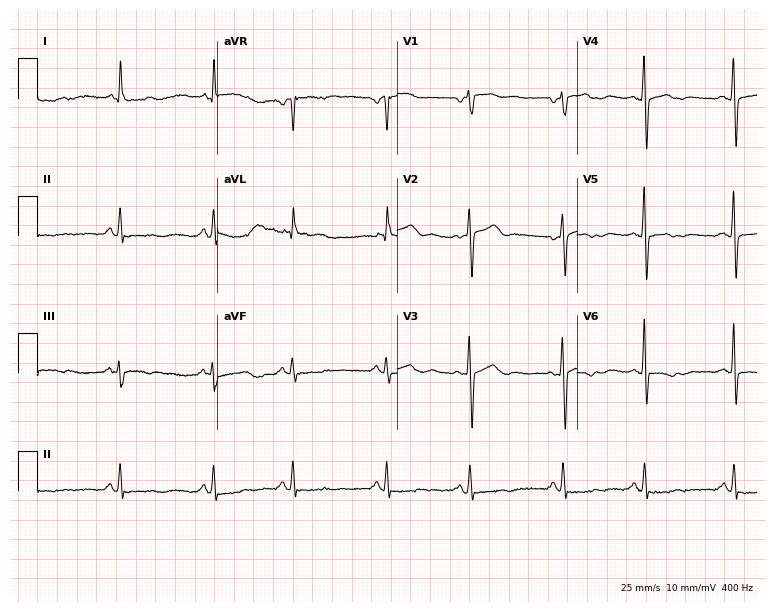
12-lead ECG (7.3-second recording at 400 Hz) from a female, 54 years old. Screened for six findings — first-degree AV block, right bundle branch block, left bundle branch block, sinus bradycardia, atrial fibrillation, sinus tachycardia — none is recorded.